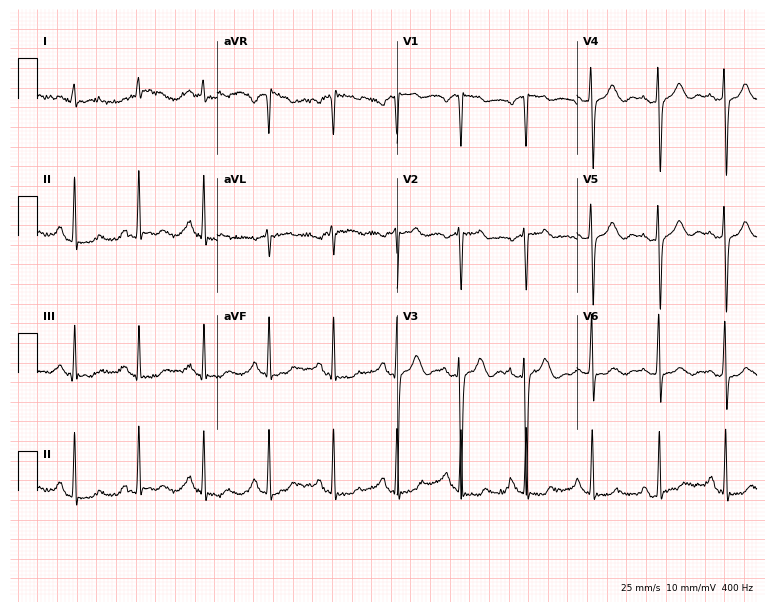
Electrocardiogram (7.3-second recording at 400 Hz), a male patient, 56 years old. Of the six screened findings (first-degree AV block, right bundle branch block, left bundle branch block, sinus bradycardia, atrial fibrillation, sinus tachycardia), none is recorded.